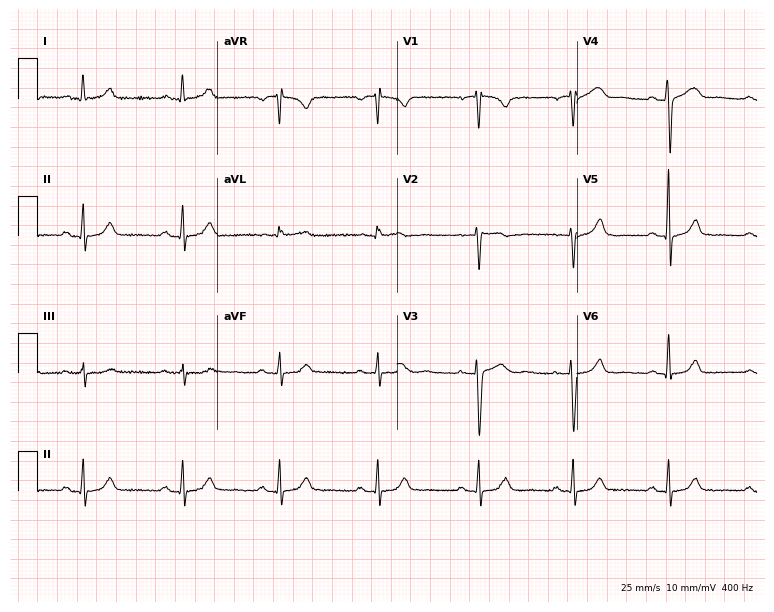
Standard 12-lead ECG recorded from a female patient, 43 years old. Read as a normal ECG.